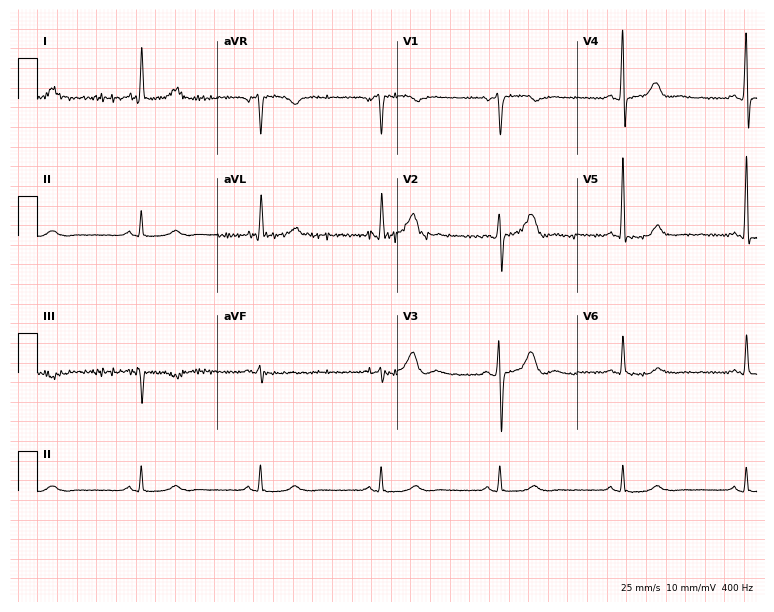
12-lead ECG from a 77-year-old male patient. Findings include sinus bradycardia (a sinus rate of 50 beats per minute or less).